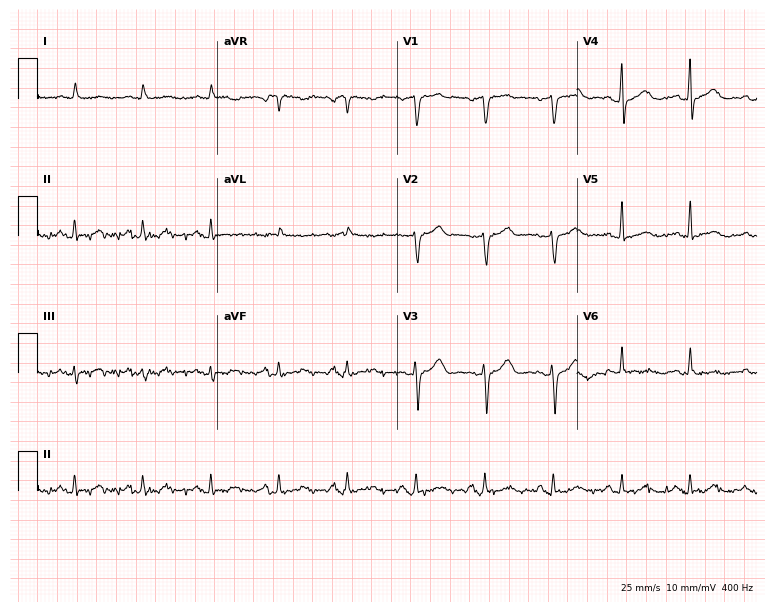
12-lead ECG from a man, 65 years old. Screened for six findings — first-degree AV block, right bundle branch block, left bundle branch block, sinus bradycardia, atrial fibrillation, sinus tachycardia — none is recorded. Only these six findings were labelled.